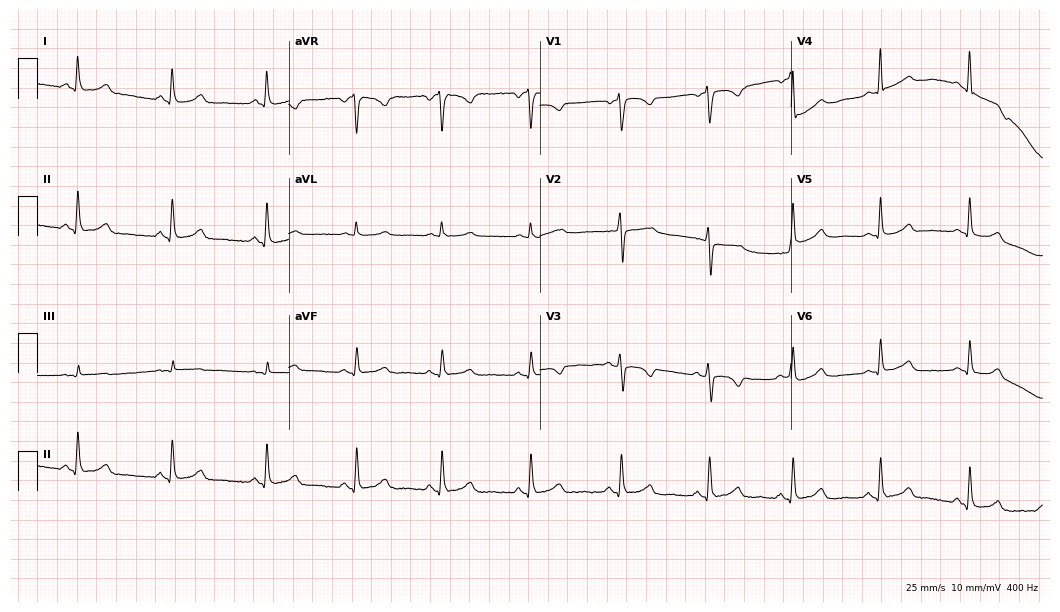
12-lead ECG (10.2-second recording at 400 Hz) from a 49-year-old woman. Labelled as a normal ECG.